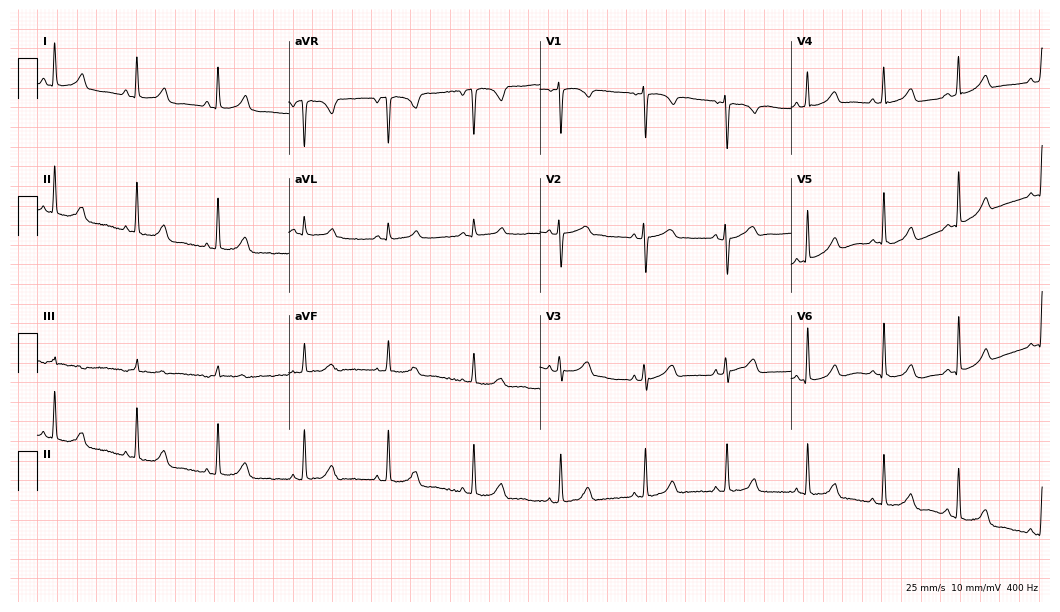
12-lead ECG (10.2-second recording at 400 Hz) from a 29-year-old female patient. Labelled as a normal ECG.